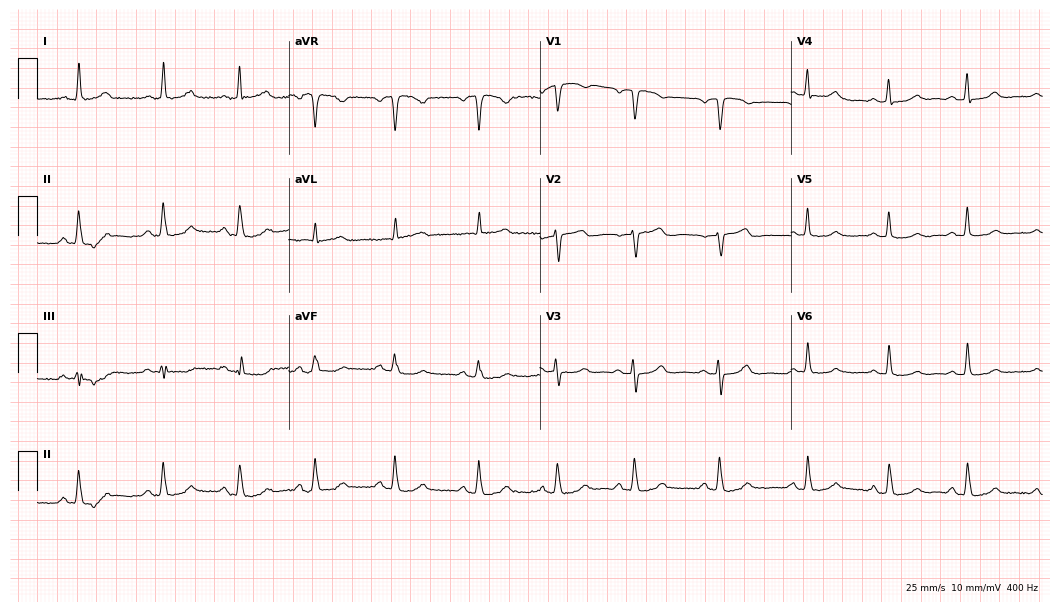
ECG — a female, 50 years old. Screened for six findings — first-degree AV block, right bundle branch block (RBBB), left bundle branch block (LBBB), sinus bradycardia, atrial fibrillation (AF), sinus tachycardia — none is recorded. Only these six findings were labelled.